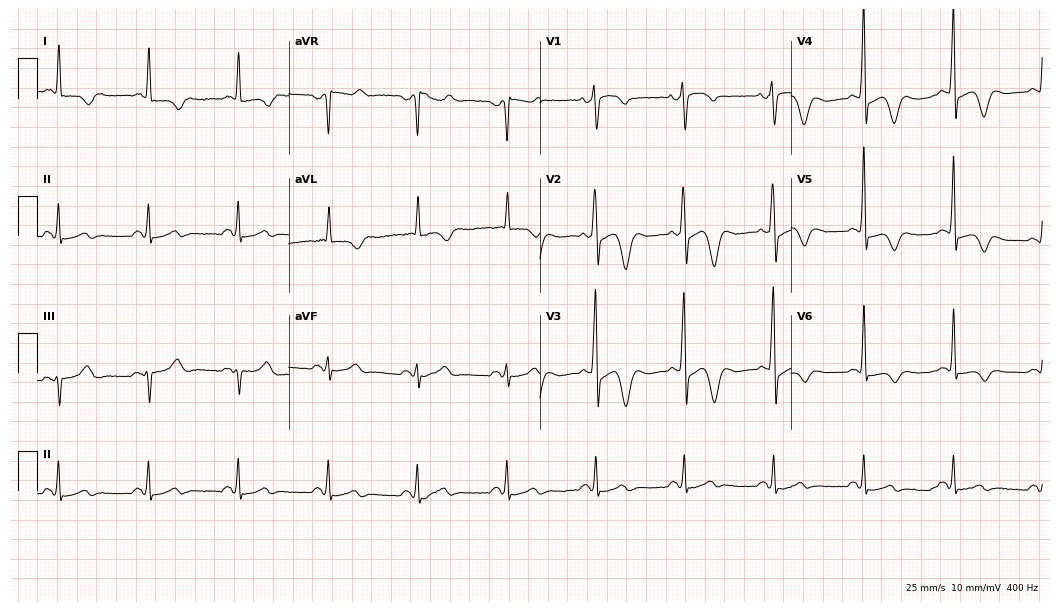
ECG (10.2-second recording at 400 Hz) — an 82-year-old man. Screened for six findings — first-degree AV block, right bundle branch block (RBBB), left bundle branch block (LBBB), sinus bradycardia, atrial fibrillation (AF), sinus tachycardia — none is recorded.